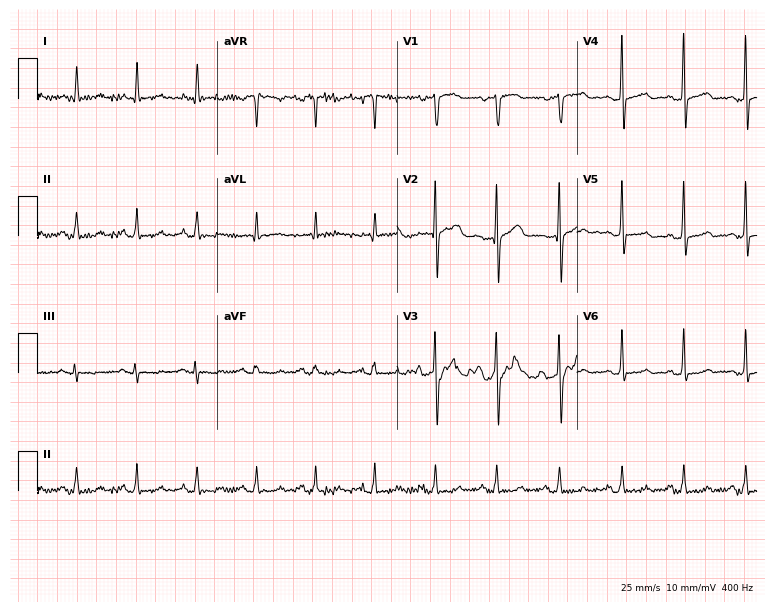
ECG — a man, 33 years old. Screened for six findings — first-degree AV block, right bundle branch block (RBBB), left bundle branch block (LBBB), sinus bradycardia, atrial fibrillation (AF), sinus tachycardia — none is recorded.